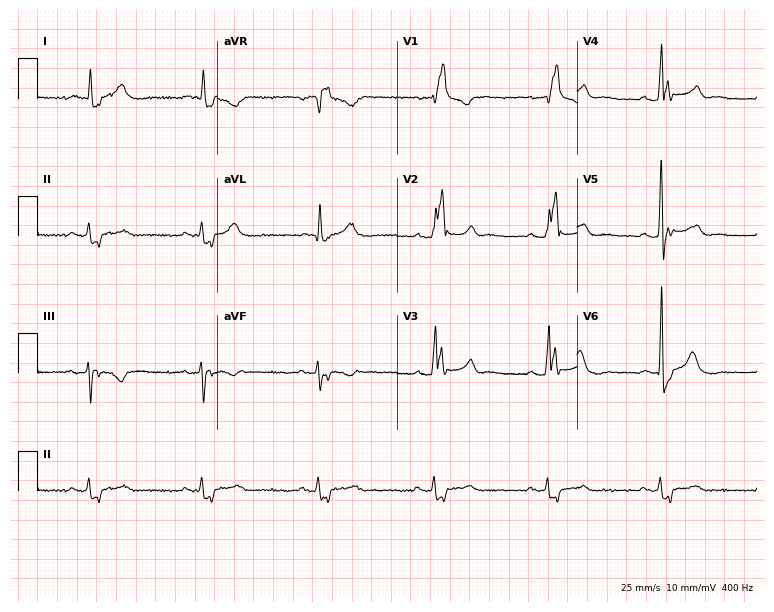
Standard 12-lead ECG recorded from a man, 46 years old (7.3-second recording at 400 Hz). The tracing shows right bundle branch block.